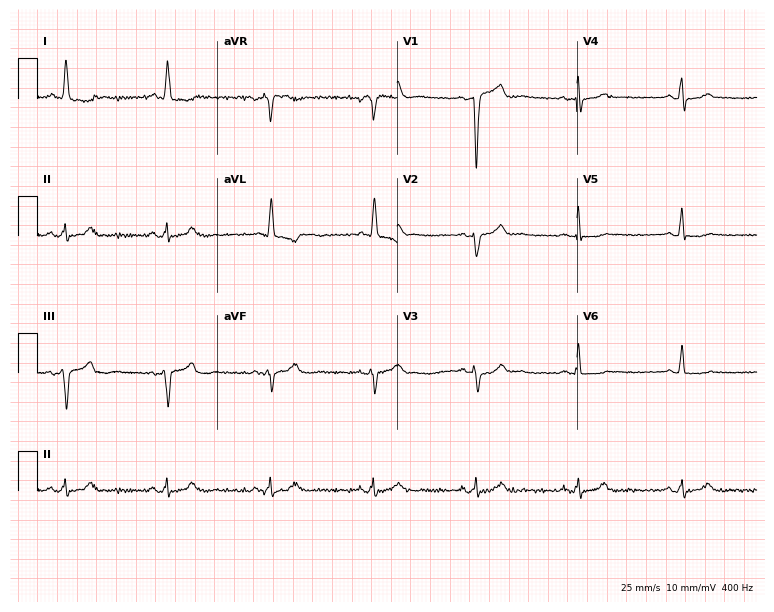
Standard 12-lead ECG recorded from a male patient, 70 years old. None of these six findings is recorded: first-degree AV block, right bundle branch block (RBBB), left bundle branch block (LBBB), sinus bradycardia, atrial fibrillation (AF), sinus tachycardia.